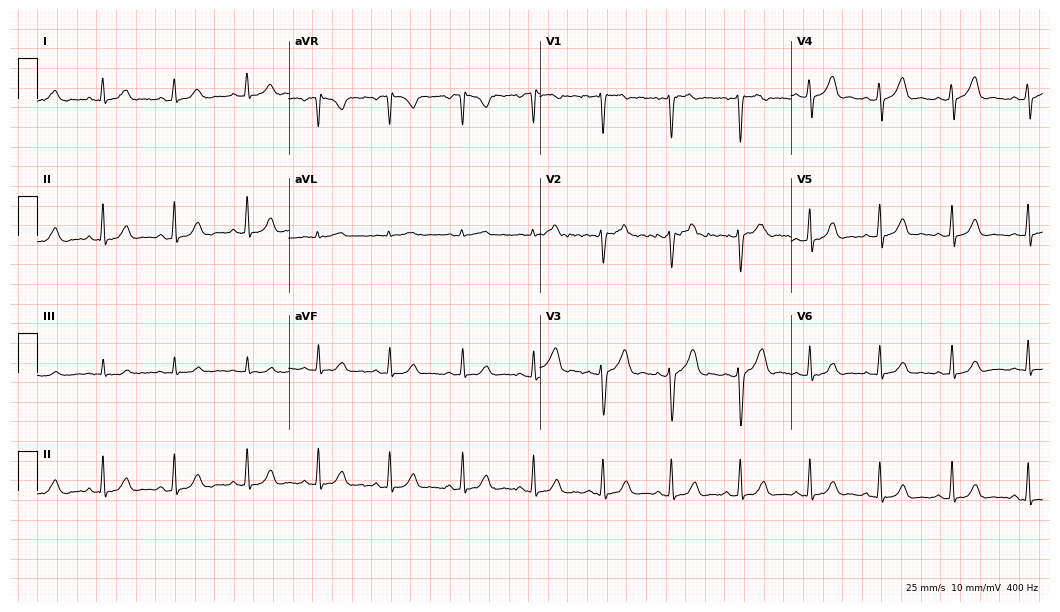
Standard 12-lead ECG recorded from a female patient, 39 years old (10.2-second recording at 400 Hz). None of these six findings is recorded: first-degree AV block, right bundle branch block, left bundle branch block, sinus bradycardia, atrial fibrillation, sinus tachycardia. Only these six findings were labelled.